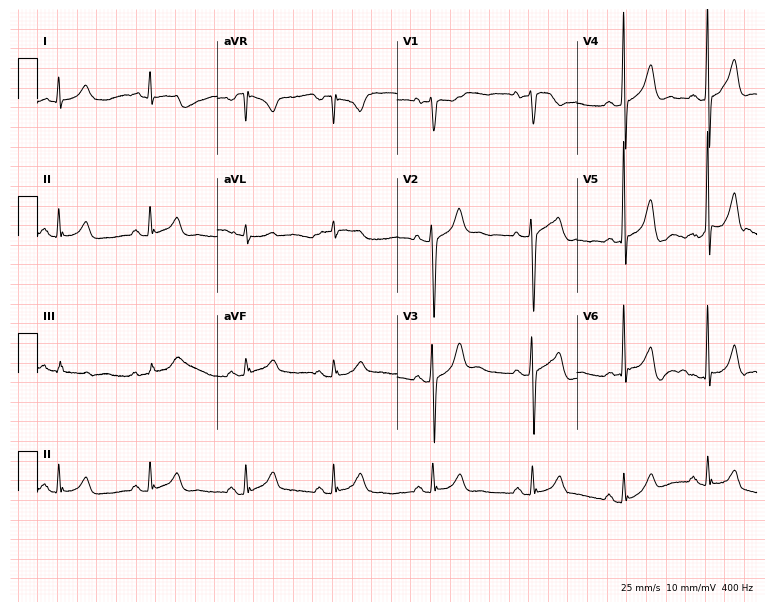
12-lead ECG (7.3-second recording at 400 Hz) from a 42-year-old man. Labelled as a normal ECG.